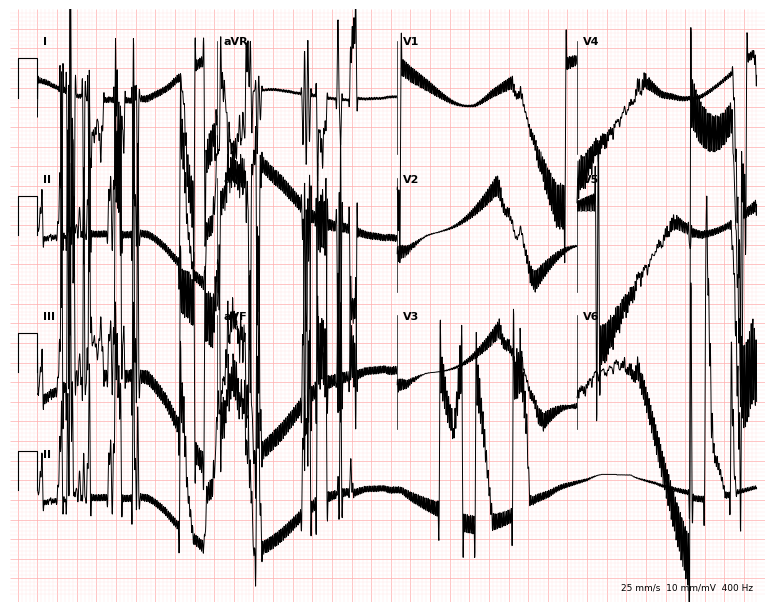
Standard 12-lead ECG recorded from a woman, 50 years old (7.3-second recording at 400 Hz). None of these six findings is recorded: first-degree AV block, right bundle branch block, left bundle branch block, sinus bradycardia, atrial fibrillation, sinus tachycardia.